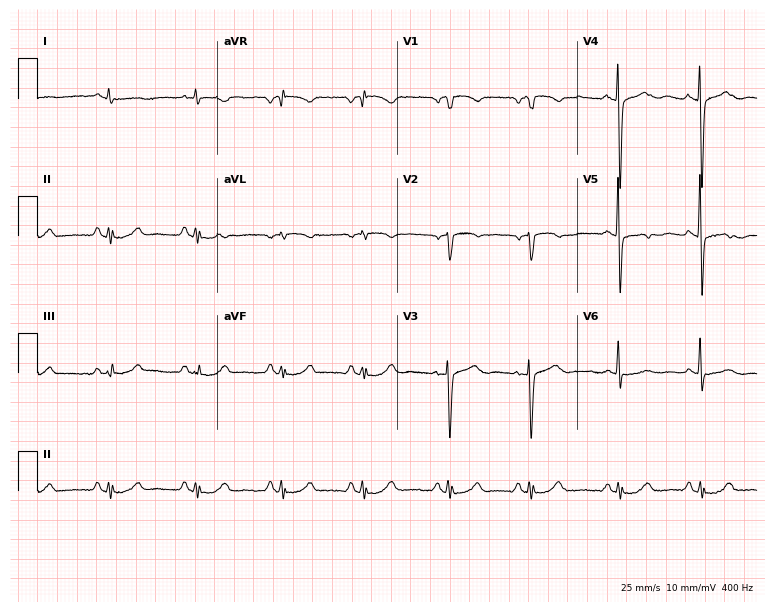
12-lead ECG (7.3-second recording at 400 Hz) from a male patient, 73 years old. Screened for six findings — first-degree AV block, right bundle branch block, left bundle branch block, sinus bradycardia, atrial fibrillation, sinus tachycardia — none is recorded.